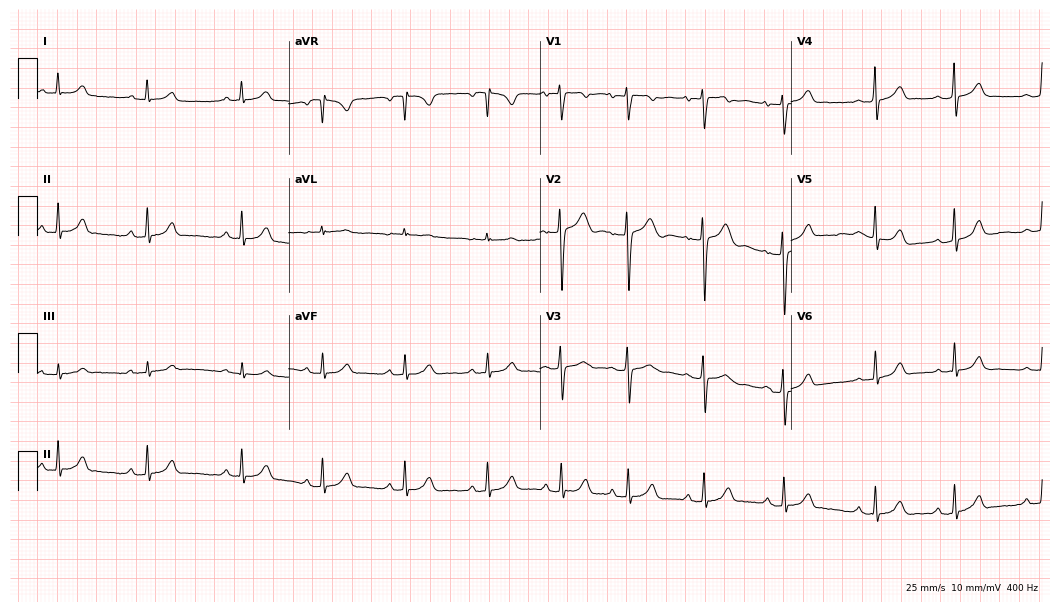
Standard 12-lead ECG recorded from an 18-year-old female (10.2-second recording at 400 Hz). Read as a normal ECG.